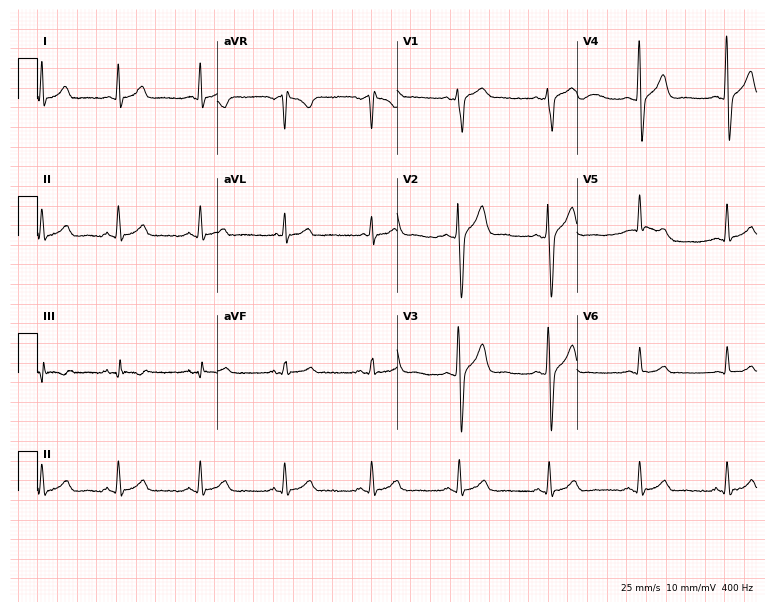
Standard 12-lead ECG recorded from a 43-year-old male. Read as a normal ECG.